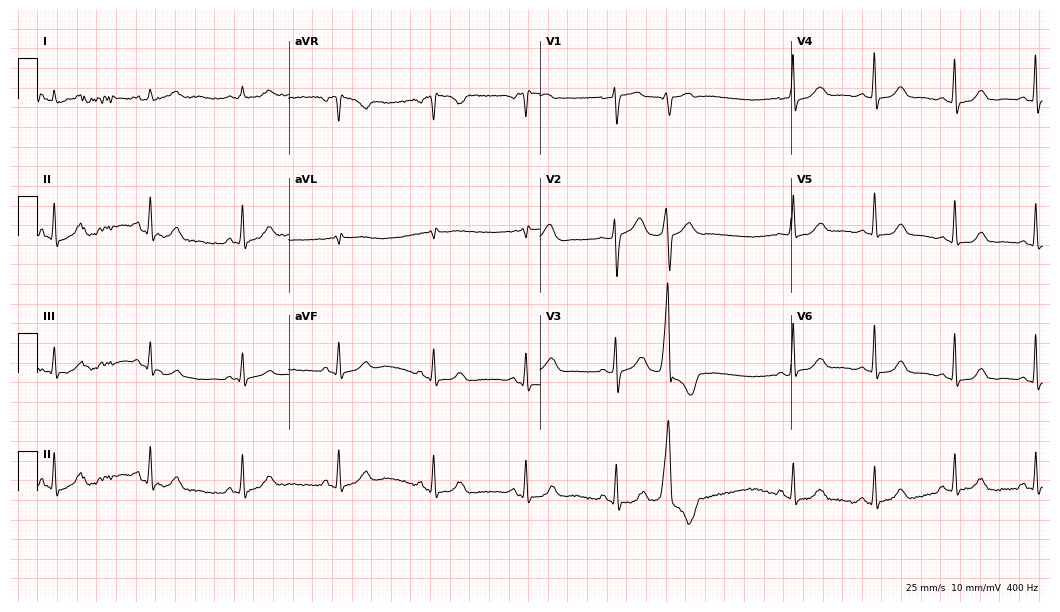
12-lead ECG from a 61-year-old female. Screened for six findings — first-degree AV block, right bundle branch block (RBBB), left bundle branch block (LBBB), sinus bradycardia, atrial fibrillation (AF), sinus tachycardia — none is recorded. Only these six findings were labelled.